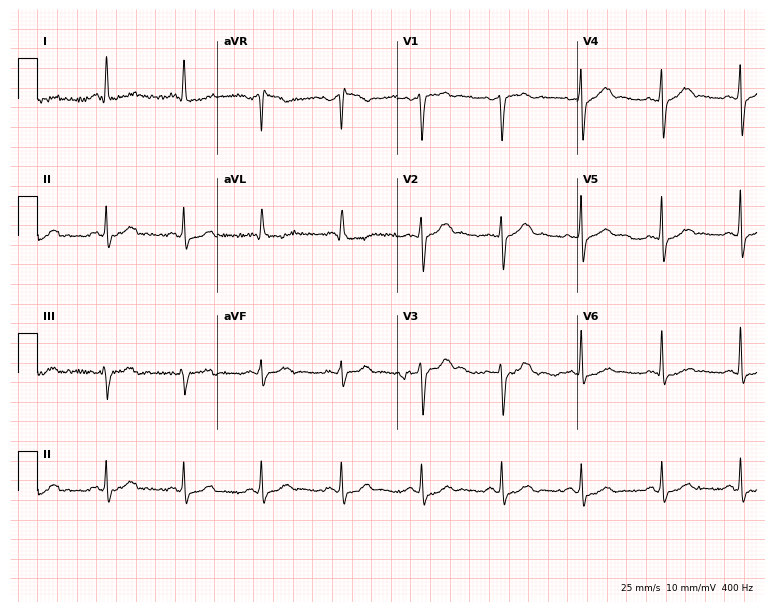
ECG — a 55-year-old man. Screened for six findings — first-degree AV block, right bundle branch block, left bundle branch block, sinus bradycardia, atrial fibrillation, sinus tachycardia — none is recorded. Findings outside these six are not listed.